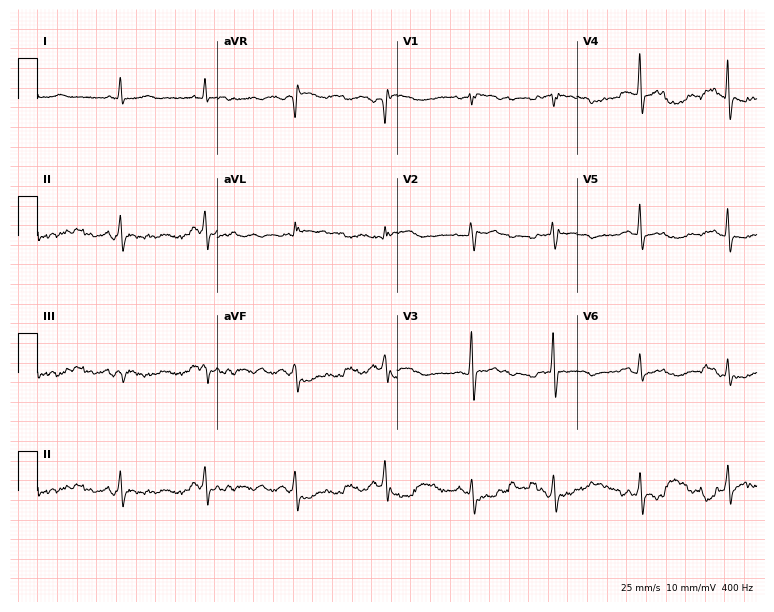
12-lead ECG from a female, 64 years old (7.3-second recording at 400 Hz). Recorded interpretation: within normal limits.